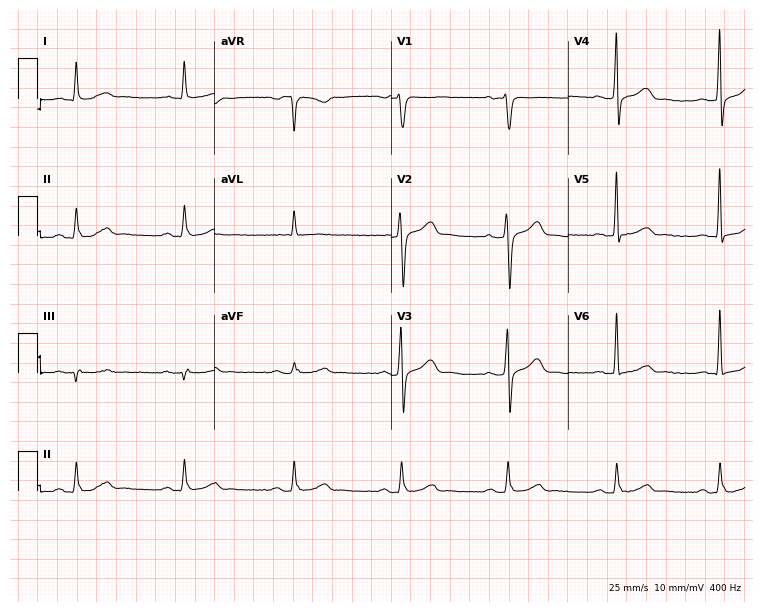
12-lead ECG from a male, 59 years old. No first-degree AV block, right bundle branch block, left bundle branch block, sinus bradycardia, atrial fibrillation or sinus tachycardia recorded for this tracing.